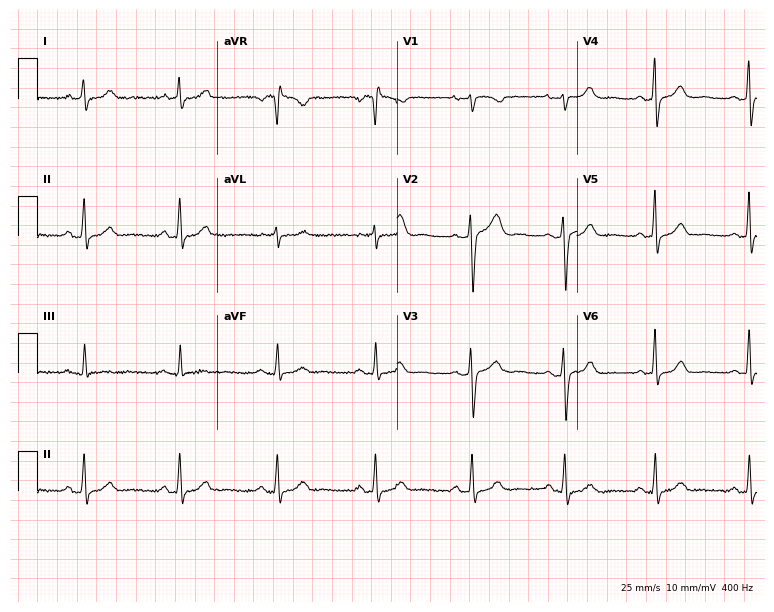
Resting 12-lead electrocardiogram (7.3-second recording at 400 Hz). Patient: a 48-year-old woman. Read as a normal ECG.